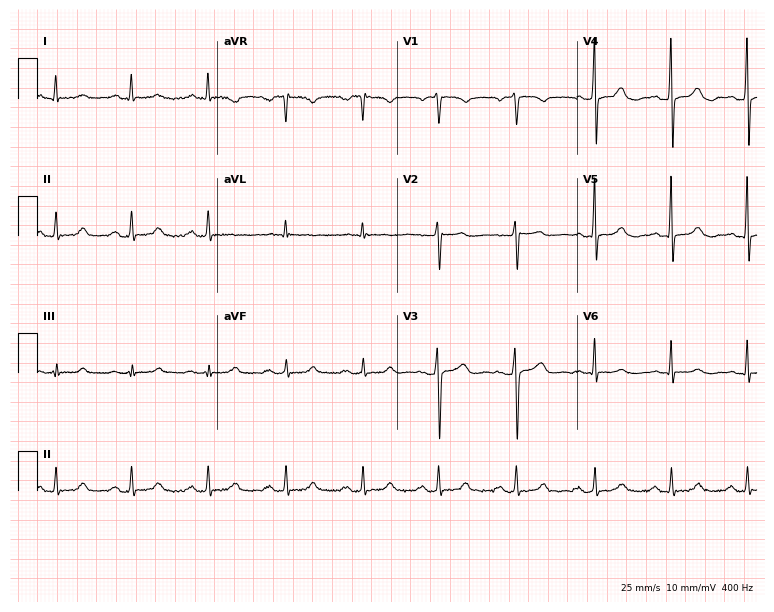
Resting 12-lead electrocardiogram (7.3-second recording at 400 Hz). Patient: a 61-year-old female. Read as a normal ECG.